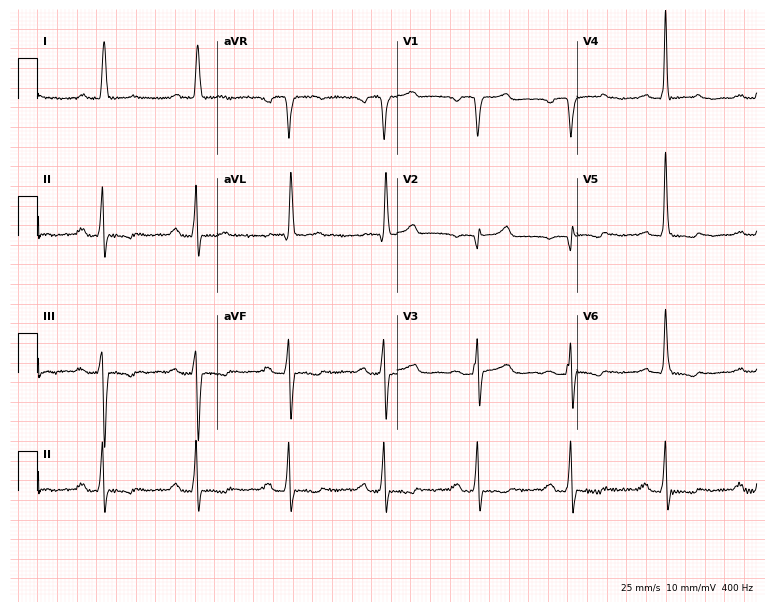
12-lead ECG from a woman, 72 years old. Screened for six findings — first-degree AV block, right bundle branch block (RBBB), left bundle branch block (LBBB), sinus bradycardia, atrial fibrillation (AF), sinus tachycardia — none is recorded.